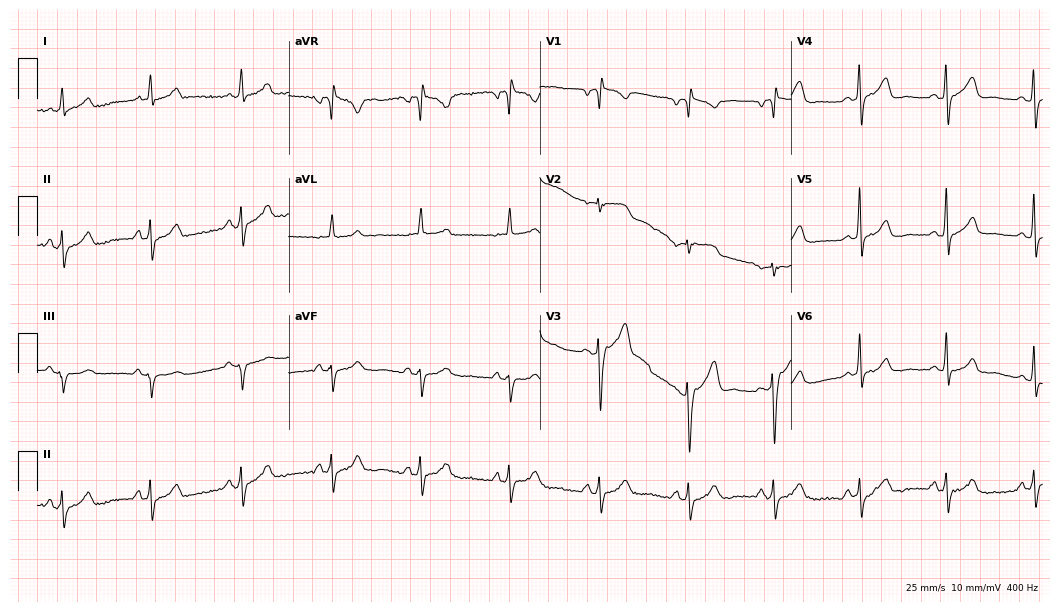
12-lead ECG from a 57-year-old male (10.2-second recording at 400 Hz). No first-degree AV block, right bundle branch block (RBBB), left bundle branch block (LBBB), sinus bradycardia, atrial fibrillation (AF) or sinus tachycardia recorded for this tracing.